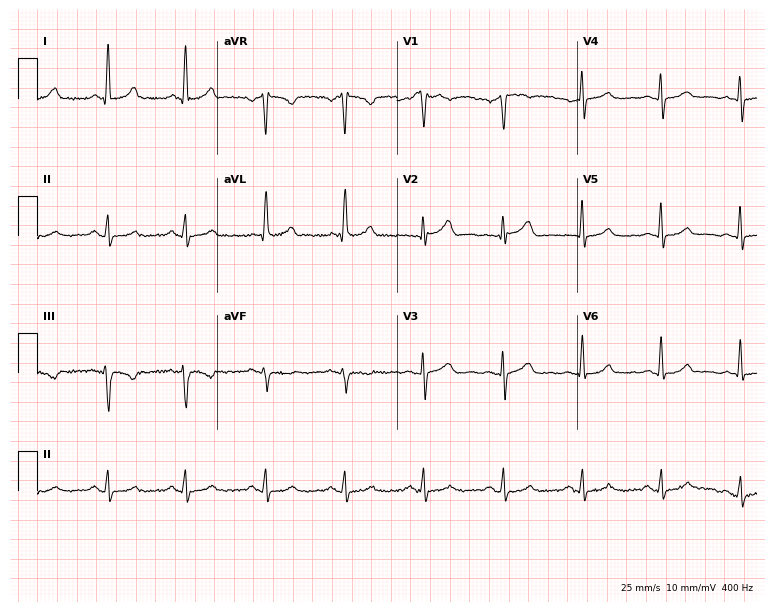
Resting 12-lead electrocardiogram. Patient: a male, 54 years old. Read as a normal ECG.